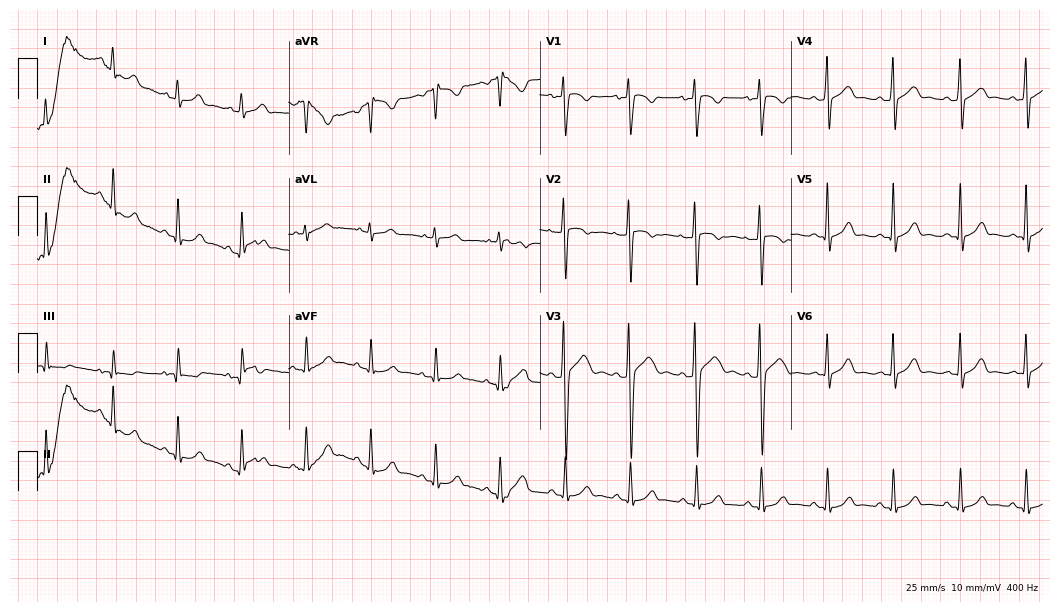
Standard 12-lead ECG recorded from a male patient, 21 years old. Read as a normal ECG.